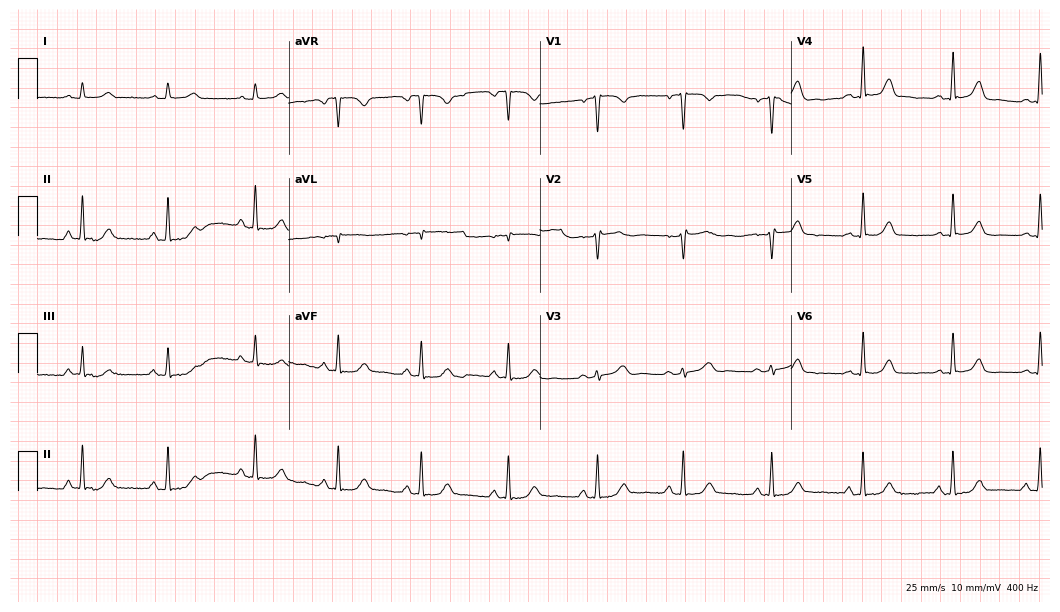
ECG — a woman, 46 years old. Screened for six findings — first-degree AV block, right bundle branch block, left bundle branch block, sinus bradycardia, atrial fibrillation, sinus tachycardia — none is recorded. Only these six findings were labelled.